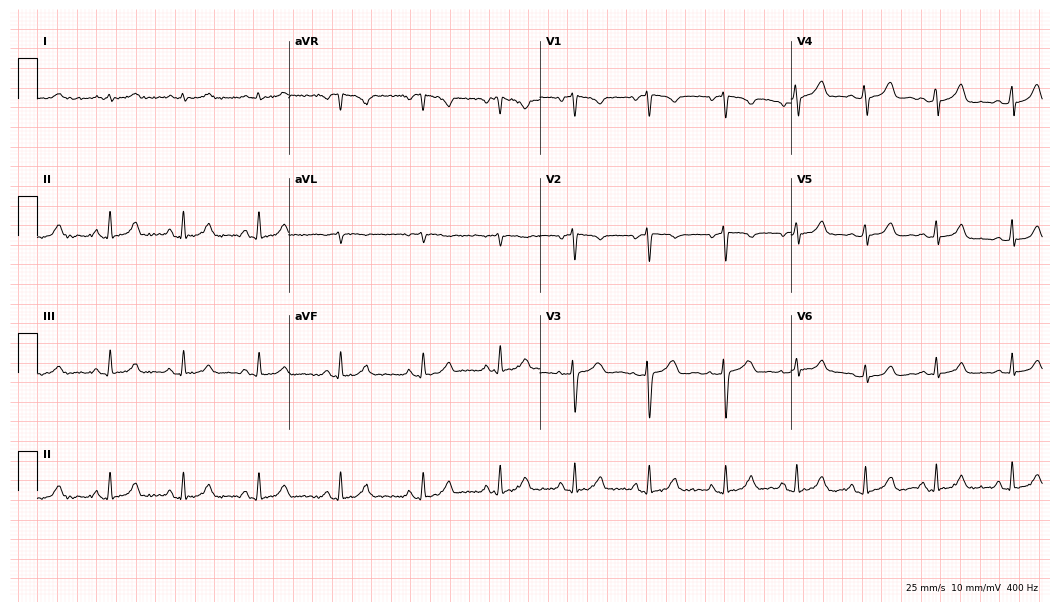
12-lead ECG (10.2-second recording at 400 Hz) from a female patient, 33 years old. Labelled as a normal ECG.